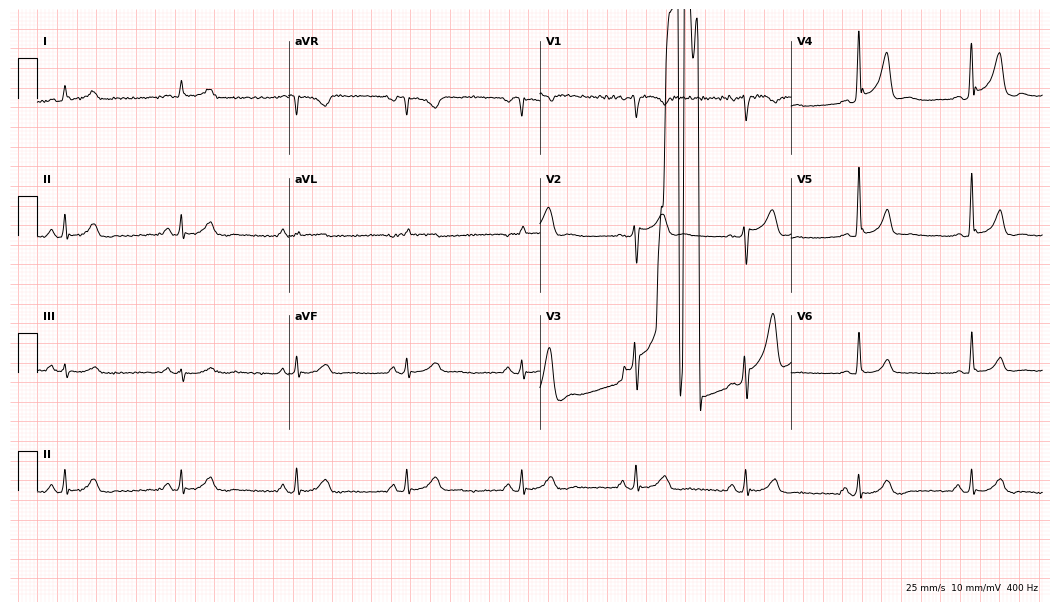
Standard 12-lead ECG recorded from a male patient, 61 years old. Read as a normal ECG.